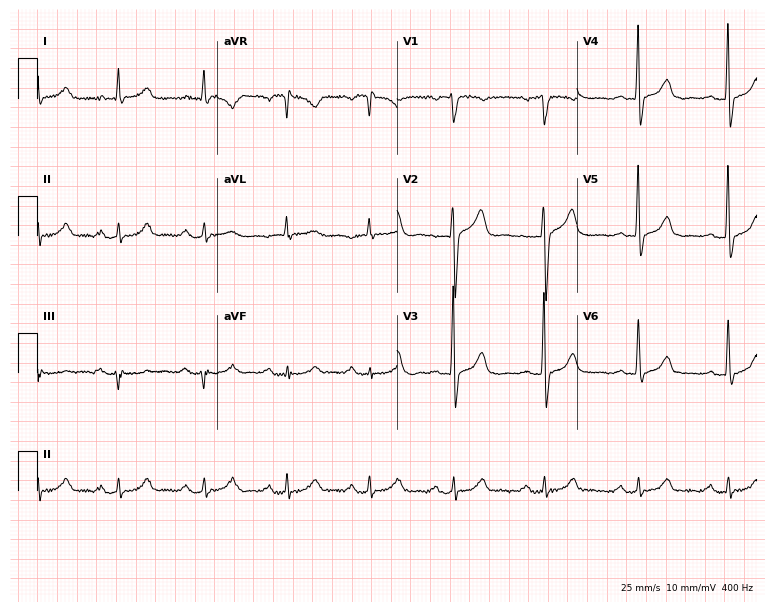
Standard 12-lead ECG recorded from a man, 58 years old (7.3-second recording at 400 Hz). Read as a normal ECG.